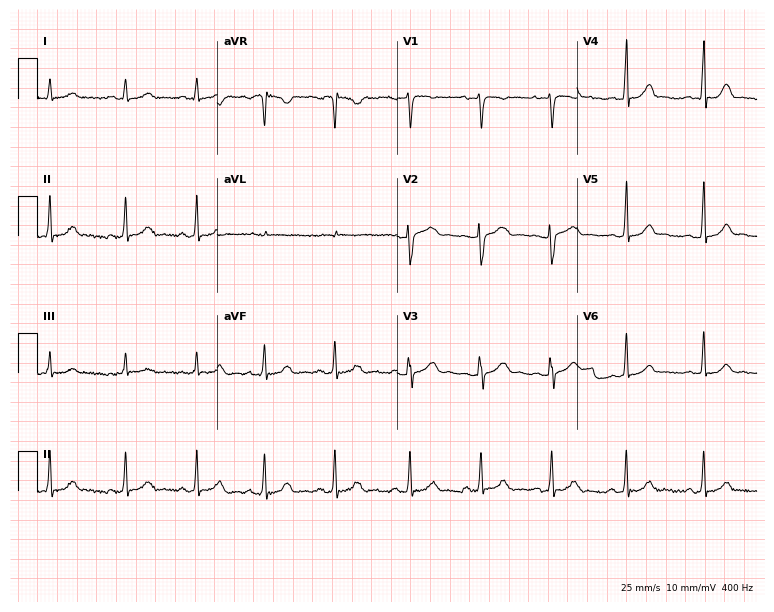
Resting 12-lead electrocardiogram. Patient: a 21-year-old female. None of these six findings is recorded: first-degree AV block, right bundle branch block, left bundle branch block, sinus bradycardia, atrial fibrillation, sinus tachycardia. Findings outside these six are not listed.